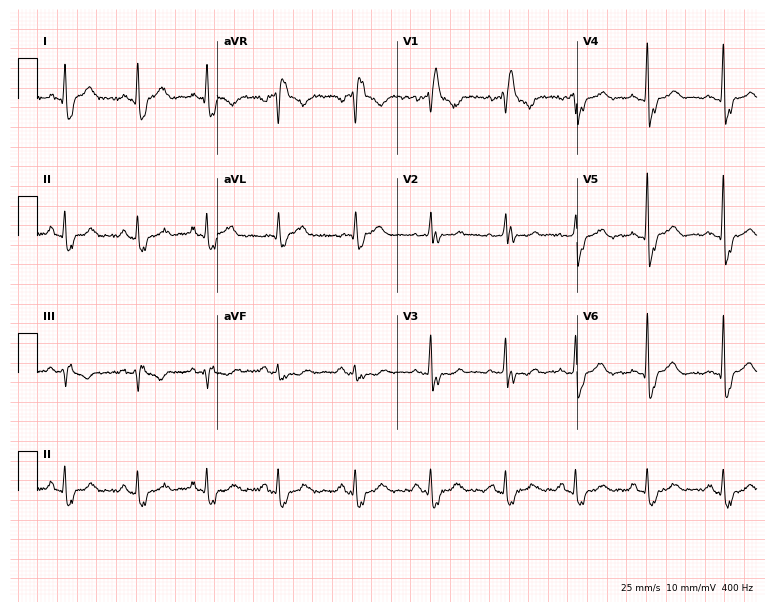
Standard 12-lead ECG recorded from a 79-year-old man (7.3-second recording at 400 Hz). The tracing shows right bundle branch block (RBBB).